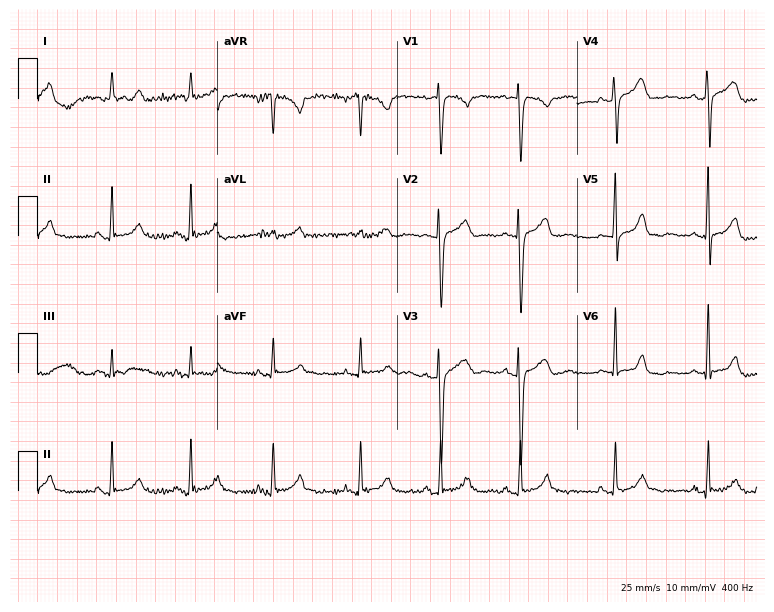
Standard 12-lead ECG recorded from a female, 43 years old (7.3-second recording at 400 Hz). Read as a normal ECG.